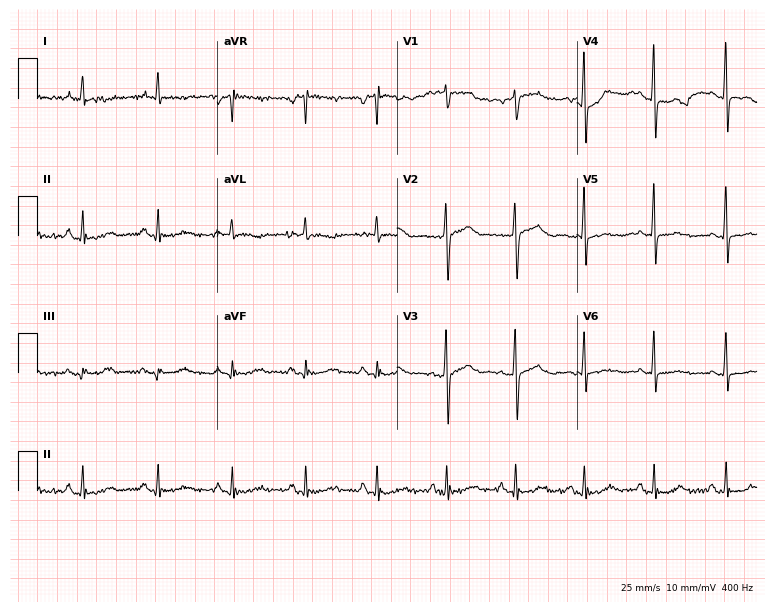
ECG (7.3-second recording at 400 Hz) — a female patient, 75 years old. Screened for six findings — first-degree AV block, right bundle branch block, left bundle branch block, sinus bradycardia, atrial fibrillation, sinus tachycardia — none is recorded. Findings outside these six are not listed.